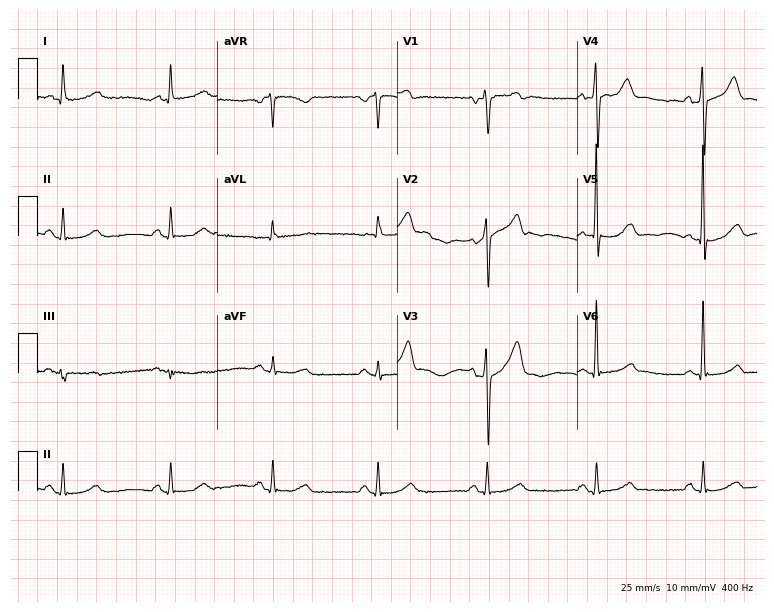
Resting 12-lead electrocardiogram (7.3-second recording at 400 Hz). Patient: a 60-year-old male. Read as a normal ECG.